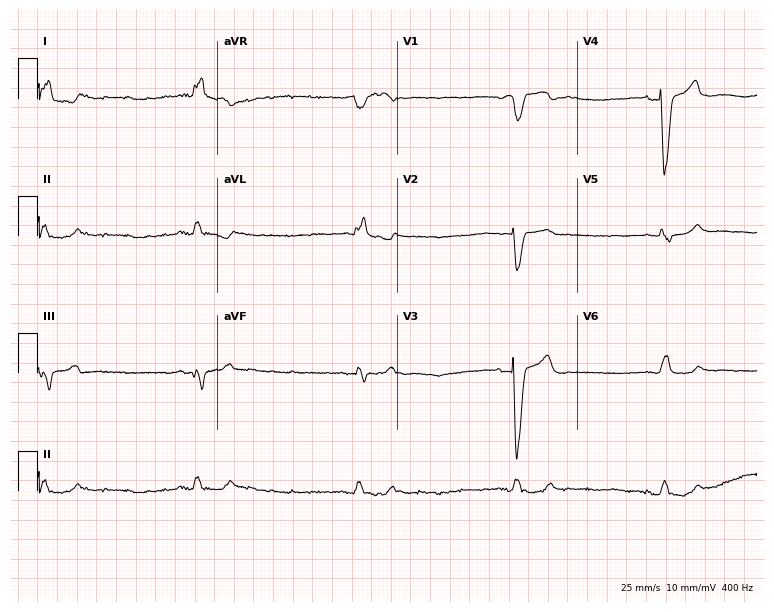
Resting 12-lead electrocardiogram. Patient: a 73-year-old female. The tracing shows right bundle branch block, left bundle branch block.